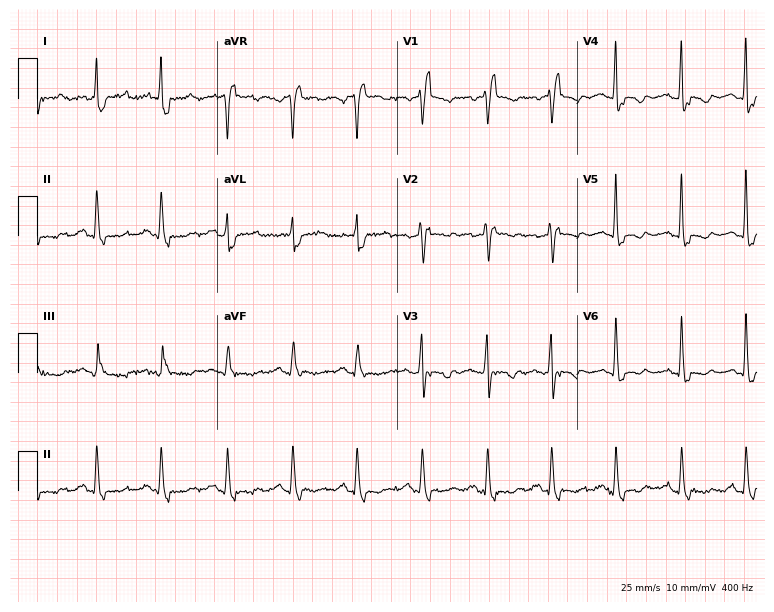
Standard 12-lead ECG recorded from a 62-year-old female. The tracing shows right bundle branch block.